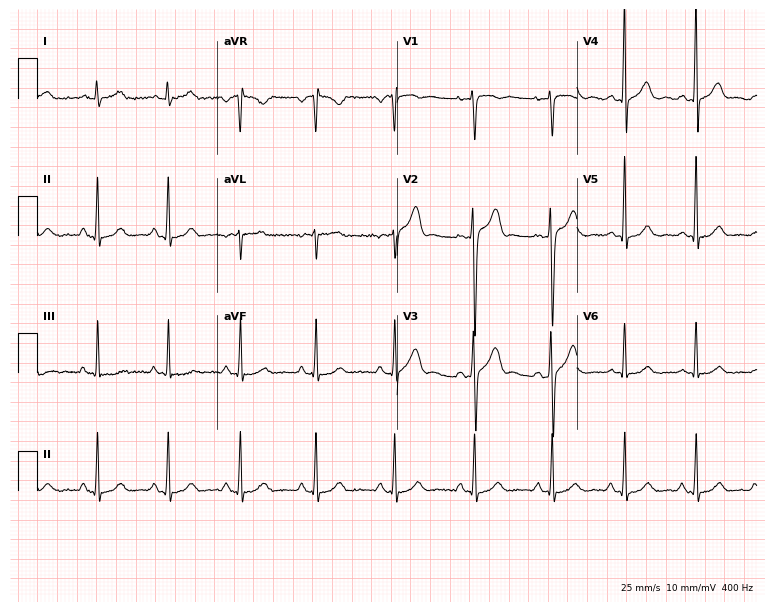
ECG — a man, 33 years old. Labelled as a normal ECG.